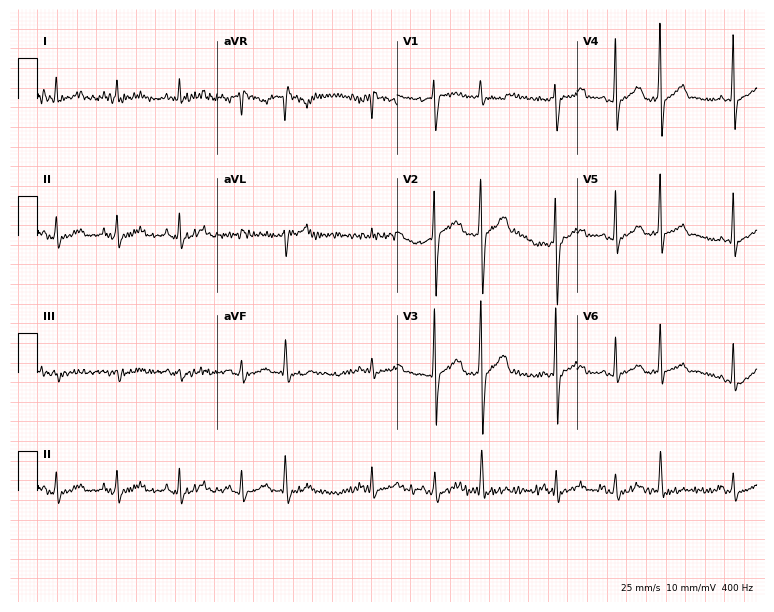
Electrocardiogram (7.3-second recording at 400 Hz), a 37-year-old man. Of the six screened findings (first-degree AV block, right bundle branch block, left bundle branch block, sinus bradycardia, atrial fibrillation, sinus tachycardia), none is recorded. Only these six findings were labelled.